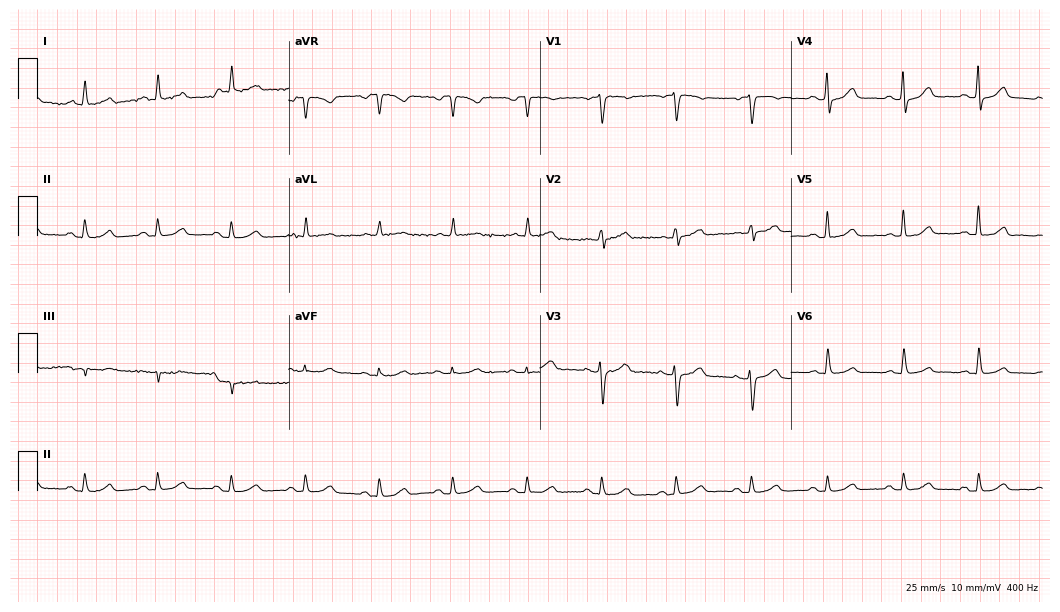
Electrocardiogram (10.2-second recording at 400 Hz), a female, 79 years old. Overall reading on record: normal ECG.